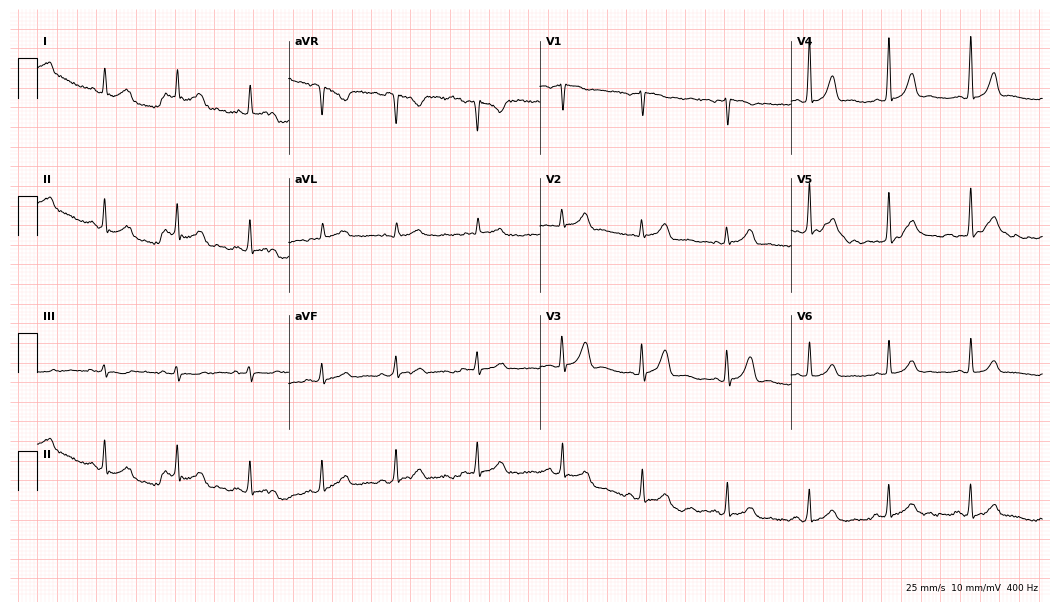
Resting 12-lead electrocardiogram. Patient: a woman, 41 years old. Read as a normal ECG.